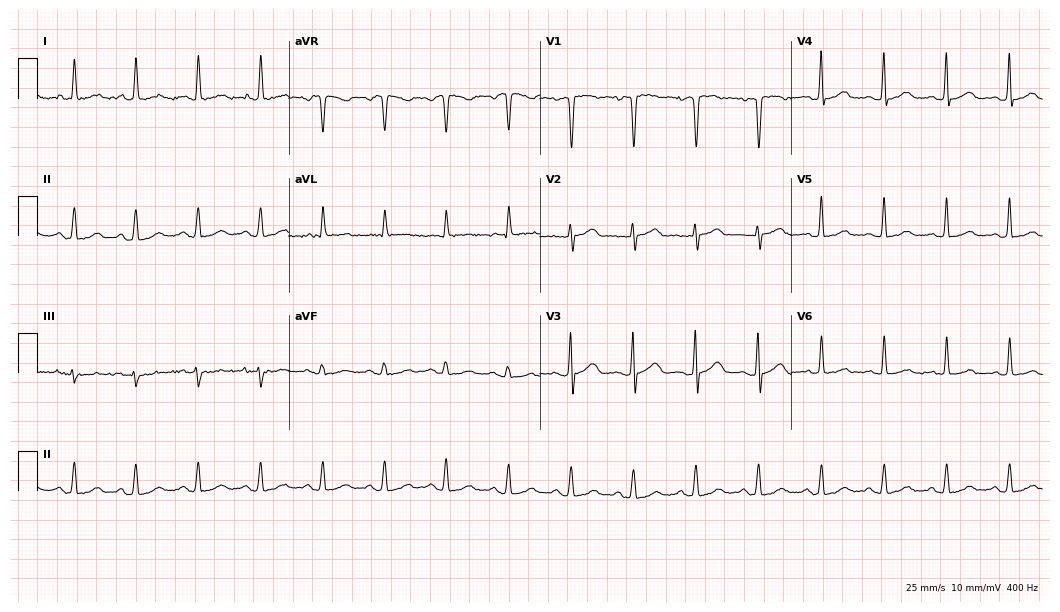
Electrocardiogram (10.2-second recording at 400 Hz), a female, 41 years old. Of the six screened findings (first-degree AV block, right bundle branch block (RBBB), left bundle branch block (LBBB), sinus bradycardia, atrial fibrillation (AF), sinus tachycardia), none is recorded.